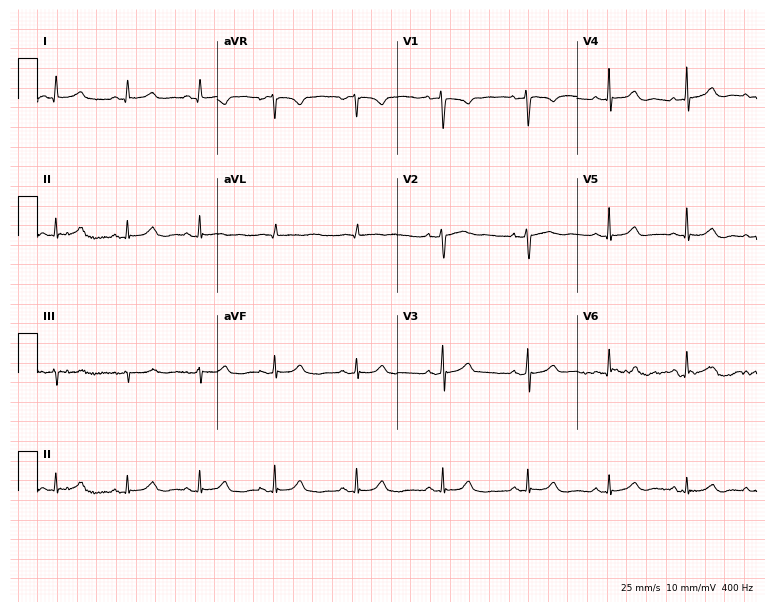
Resting 12-lead electrocardiogram. Patient: a 47-year-old female. Read as a normal ECG.